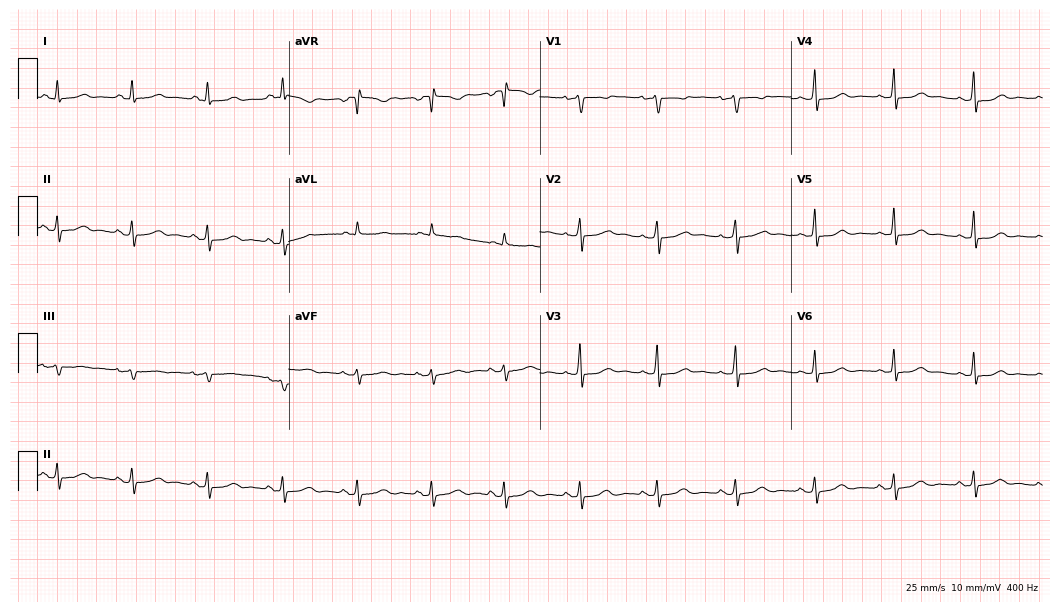
12-lead ECG from a 47-year-old woman. Screened for six findings — first-degree AV block, right bundle branch block (RBBB), left bundle branch block (LBBB), sinus bradycardia, atrial fibrillation (AF), sinus tachycardia — none is recorded.